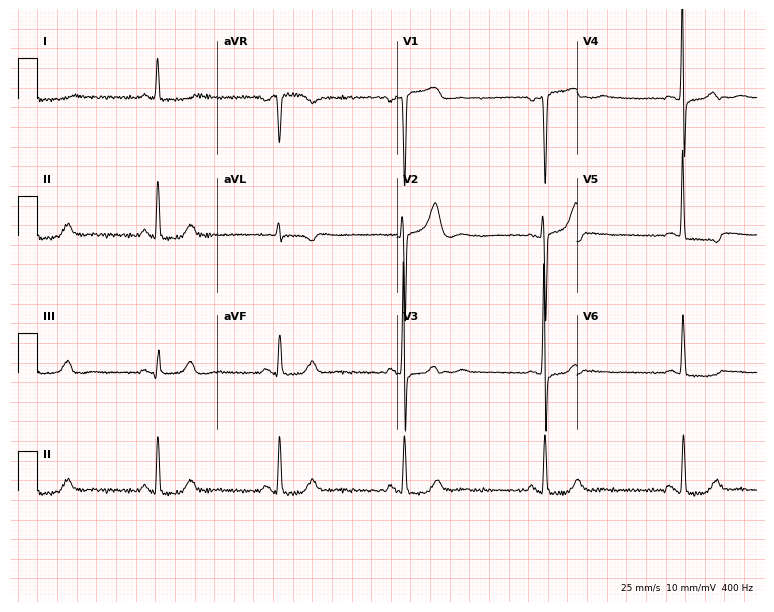
Standard 12-lead ECG recorded from a woman, 70 years old (7.3-second recording at 400 Hz). None of these six findings is recorded: first-degree AV block, right bundle branch block, left bundle branch block, sinus bradycardia, atrial fibrillation, sinus tachycardia. Findings outside these six are not listed.